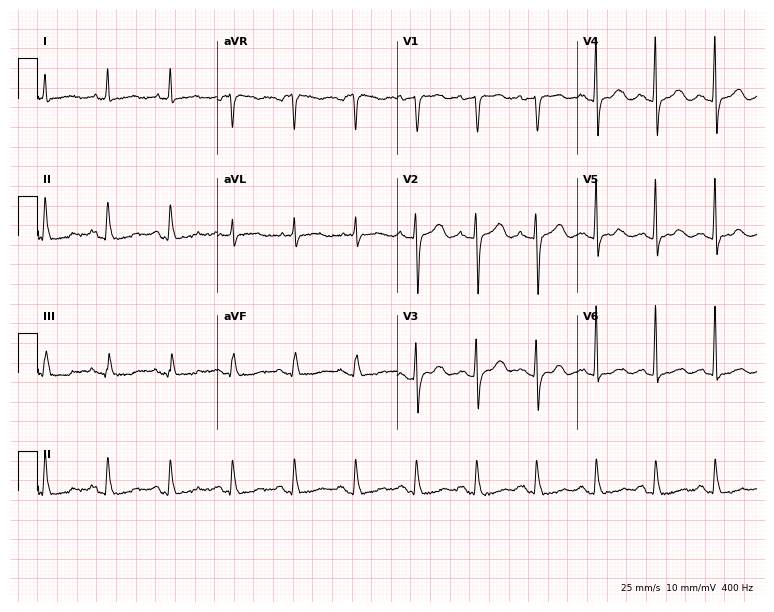
12-lead ECG (7.3-second recording at 400 Hz) from an 80-year-old female patient. Screened for six findings — first-degree AV block, right bundle branch block (RBBB), left bundle branch block (LBBB), sinus bradycardia, atrial fibrillation (AF), sinus tachycardia — none is recorded. Findings outside these six are not listed.